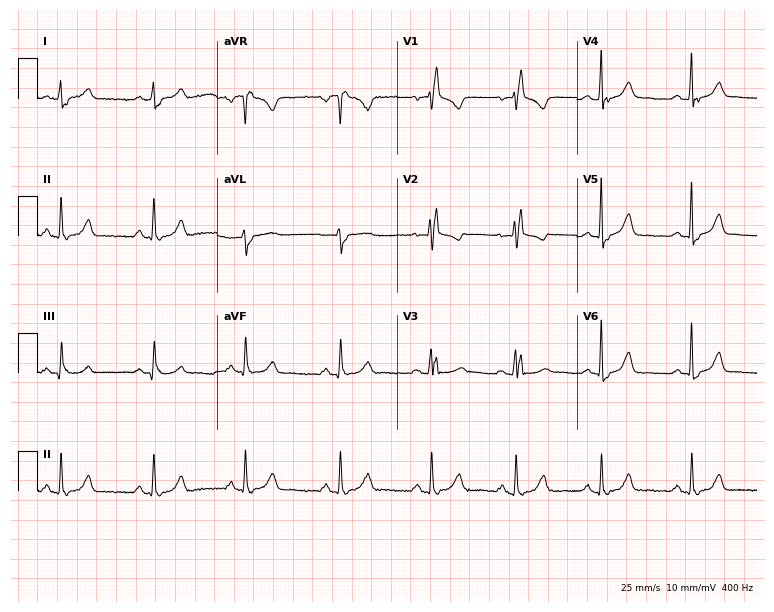
Standard 12-lead ECG recorded from a female patient, 44 years old (7.3-second recording at 400 Hz). None of these six findings is recorded: first-degree AV block, right bundle branch block, left bundle branch block, sinus bradycardia, atrial fibrillation, sinus tachycardia. Findings outside these six are not listed.